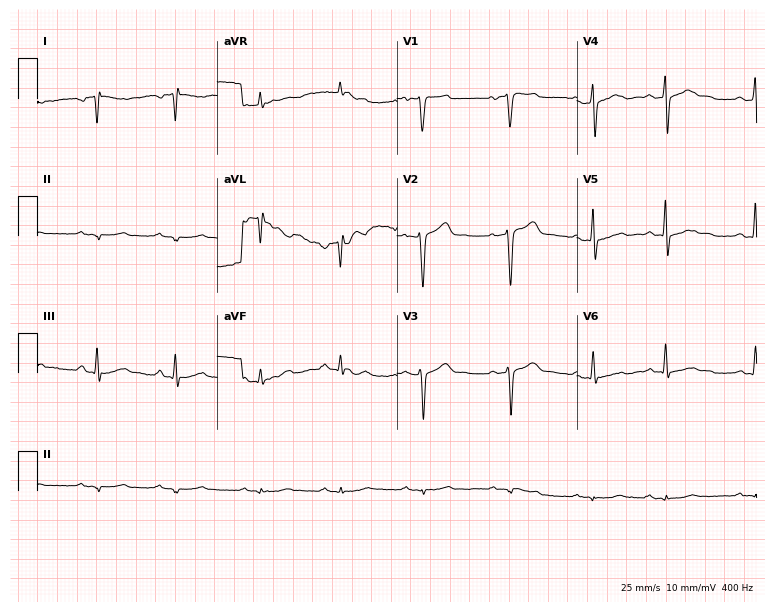
ECG — a male, 54 years old. Screened for six findings — first-degree AV block, right bundle branch block, left bundle branch block, sinus bradycardia, atrial fibrillation, sinus tachycardia — none is recorded.